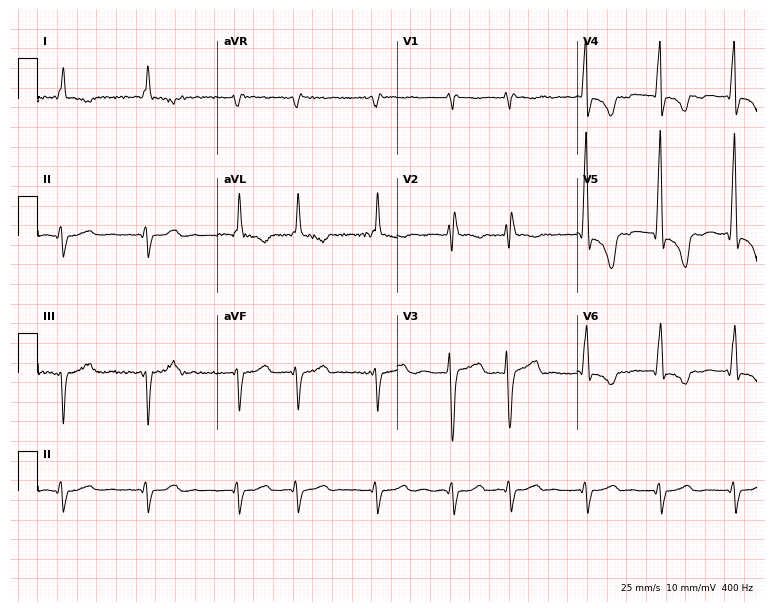
Resting 12-lead electrocardiogram (7.3-second recording at 400 Hz). Patient: a 67-year-old male. The tracing shows atrial fibrillation (AF).